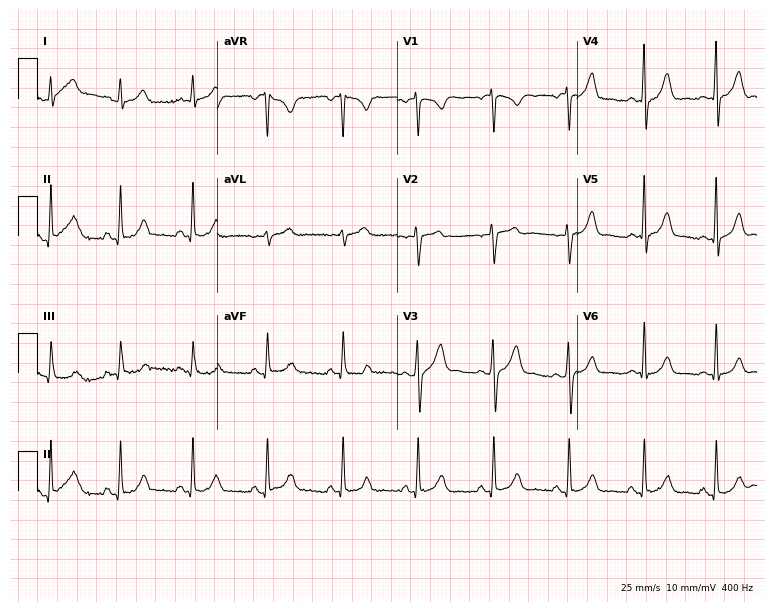
12-lead ECG from a 30-year-old male (7.3-second recording at 400 Hz). Recorded interpretation: within normal limits.